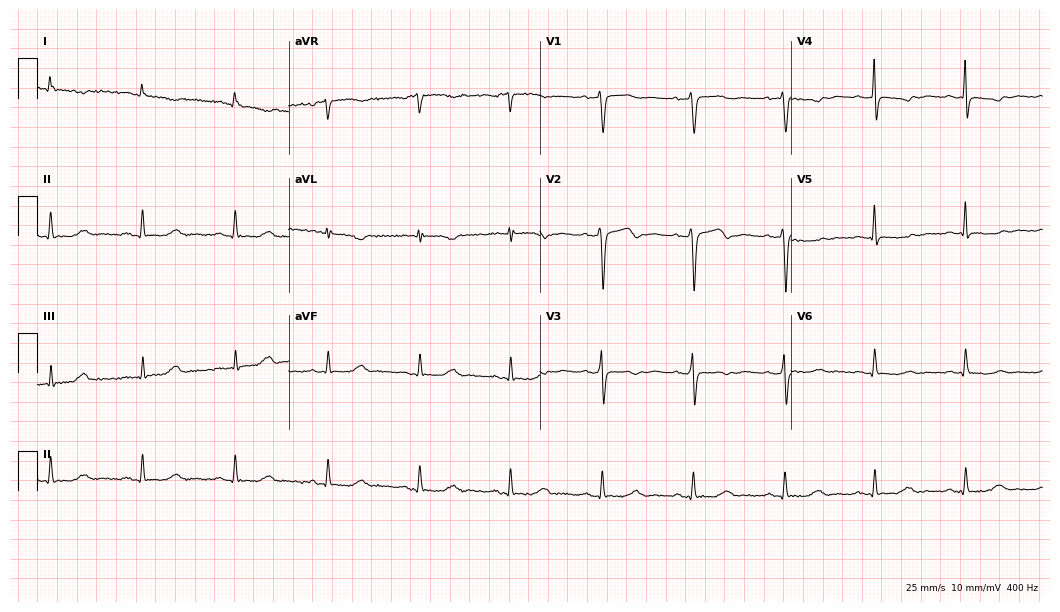
12-lead ECG from a 62-year-old female patient. Screened for six findings — first-degree AV block, right bundle branch block, left bundle branch block, sinus bradycardia, atrial fibrillation, sinus tachycardia — none is recorded.